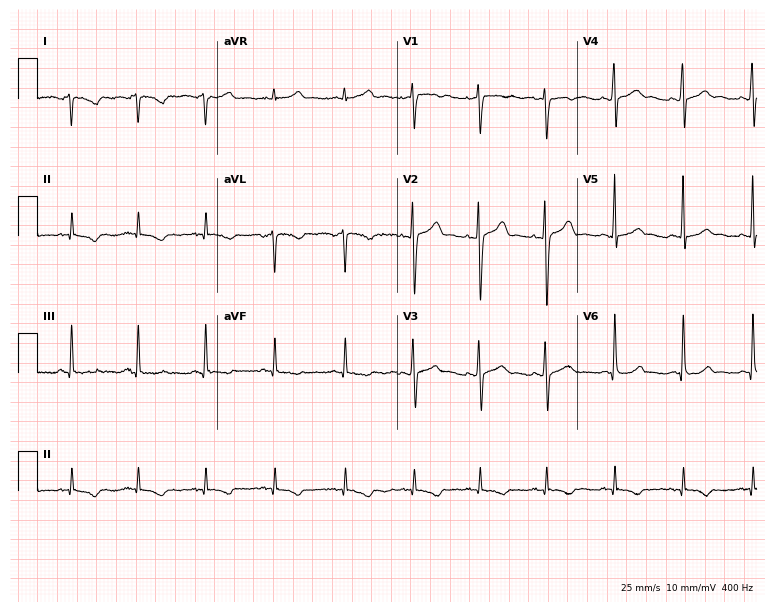
12-lead ECG (7.3-second recording at 400 Hz) from a female, 22 years old. Screened for six findings — first-degree AV block, right bundle branch block, left bundle branch block, sinus bradycardia, atrial fibrillation, sinus tachycardia — none is recorded.